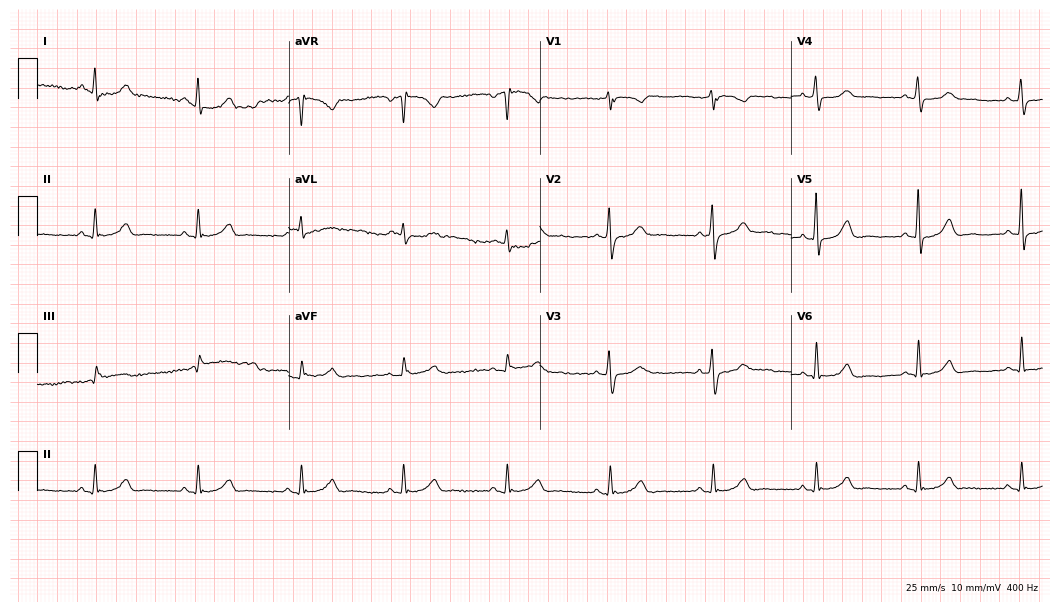
Standard 12-lead ECG recorded from a male, 75 years old (10.2-second recording at 400 Hz). None of these six findings is recorded: first-degree AV block, right bundle branch block (RBBB), left bundle branch block (LBBB), sinus bradycardia, atrial fibrillation (AF), sinus tachycardia.